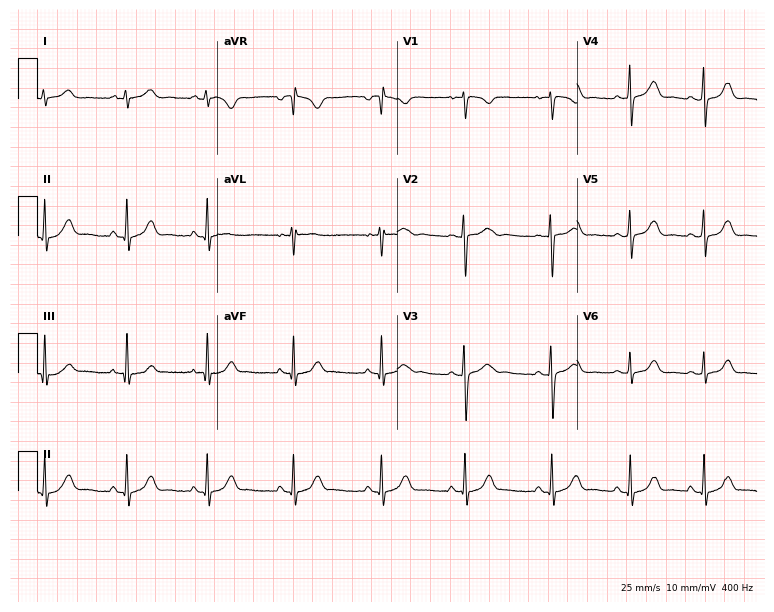
12-lead ECG (7.3-second recording at 400 Hz) from a woman, 17 years old. Labelled as a normal ECG.